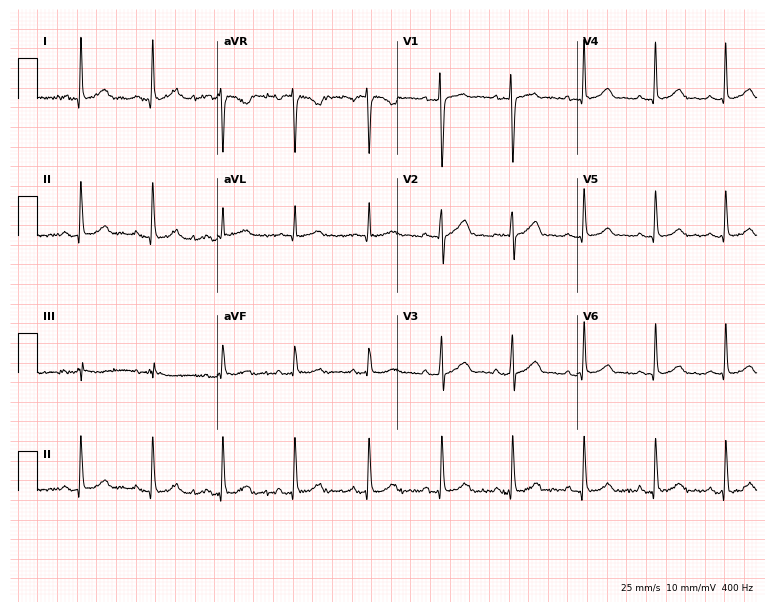
12-lead ECG from a female patient, 39 years old (7.3-second recording at 400 Hz). Recorded interpretation: within normal limits.